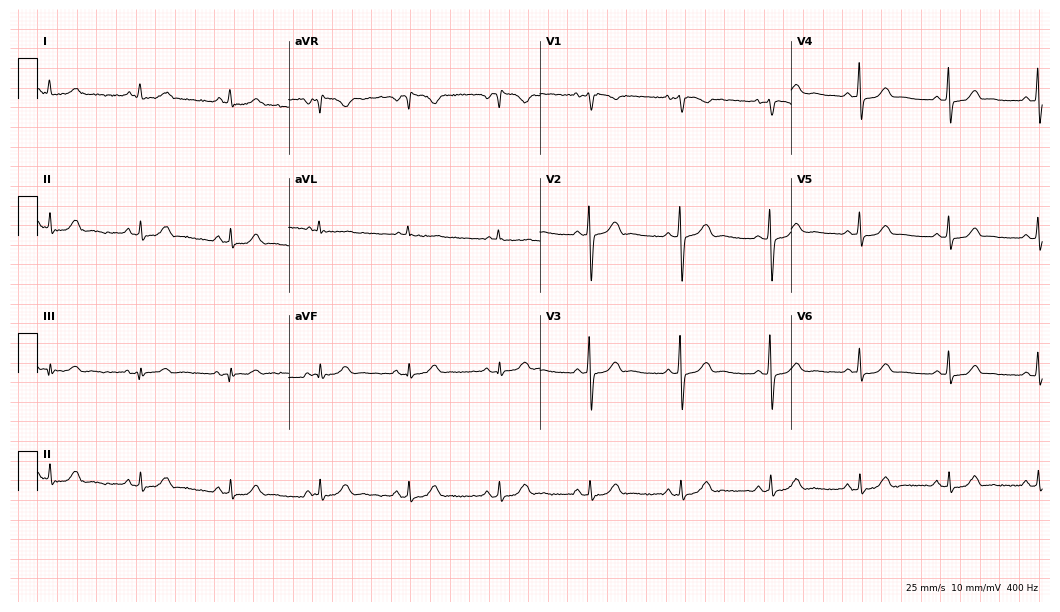
Standard 12-lead ECG recorded from a man, 57 years old. Read as a normal ECG.